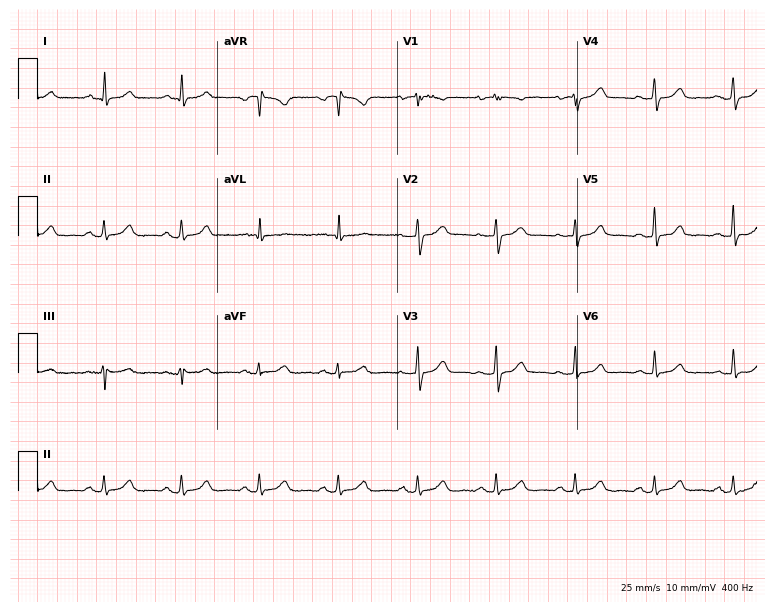
Electrocardiogram (7.3-second recording at 400 Hz), a 63-year-old female. Overall reading on record: normal ECG.